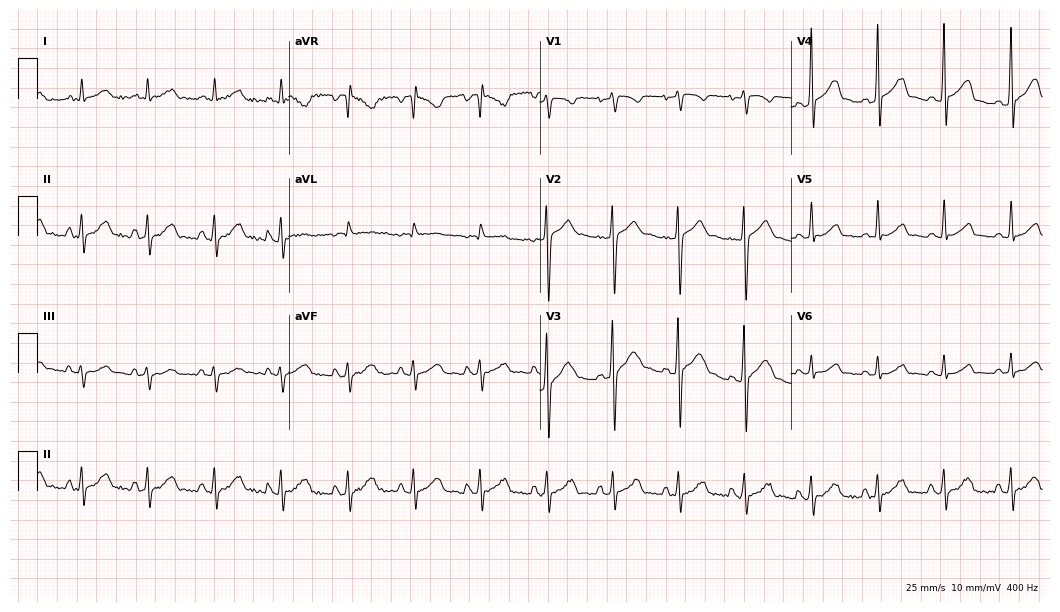
12-lead ECG from a man, 27 years old. Recorded interpretation: within normal limits.